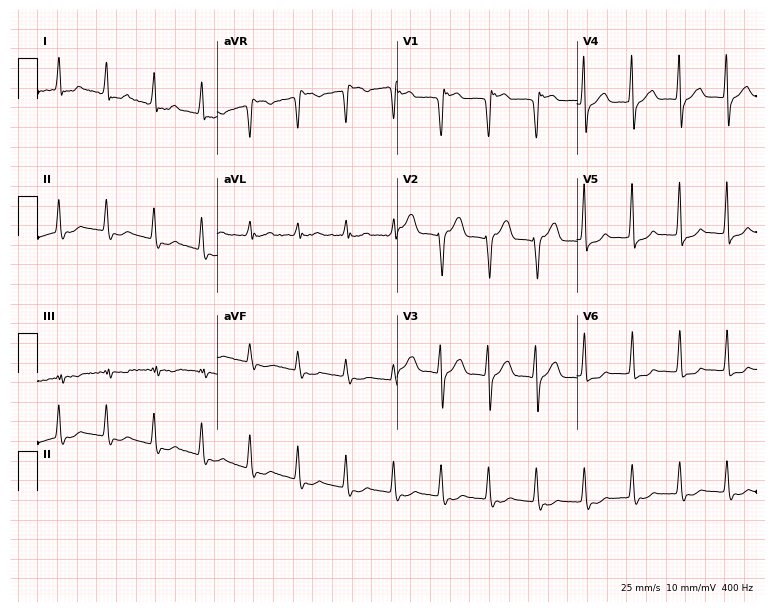
12-lead ECG from a male patient, 66 years old (7.3-second recording at 400 Hz). Shows sinus tachycardia (a sinus rate of 100 beats per minute or more).